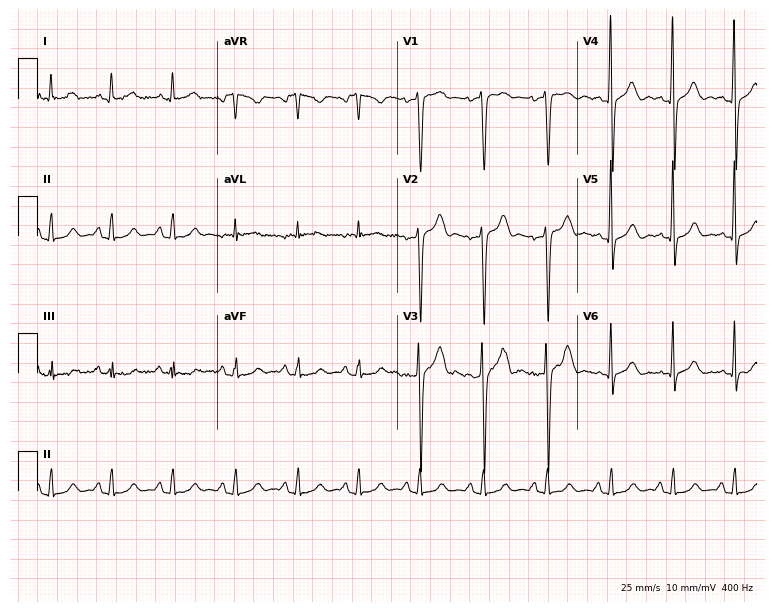
Electrocardiogram (7.3-second recording at 400 Hz), a 42-year-old male patient. Of the six screened findings (first-degree AV block, right bundle branch block (RBBB), left bundle branch block (LBBB), sinus bradycardia, atrial fibrillation (AF), sinus tachycardia), none is recorded. Other findings, if any, are not listed.